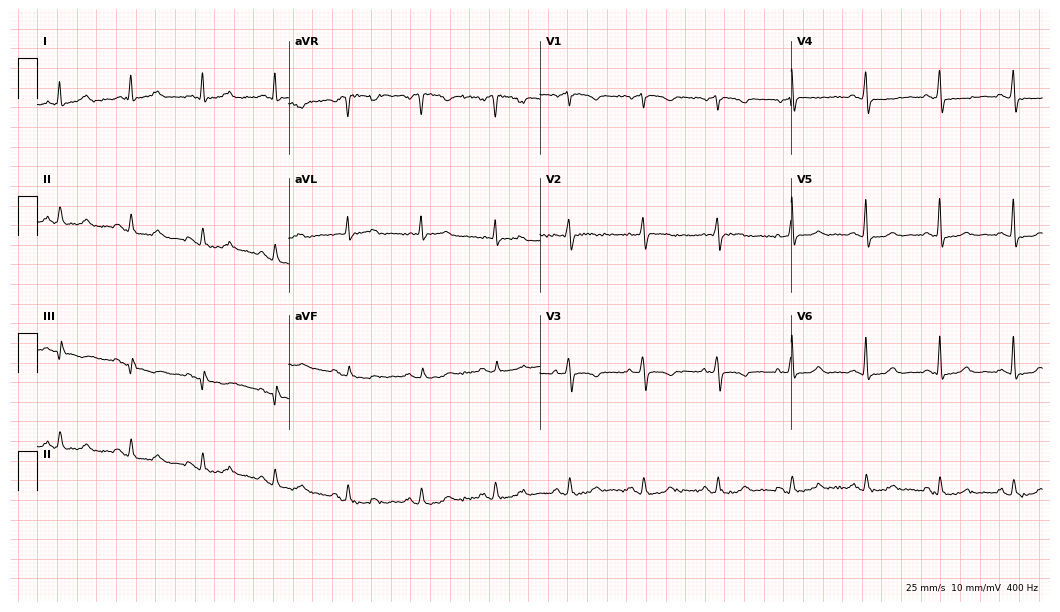
12-lead ECG (10.2-second recording at 400 Hz) from a female, 74 years old. Labelled as a normal ECG.